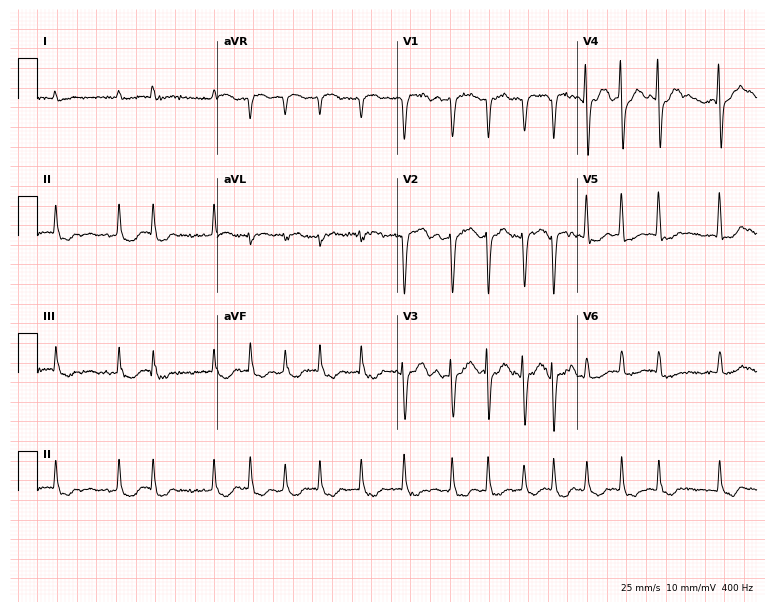
12-lead ECG from an 85-year-old male. Shows atrial fibrillation (AF).